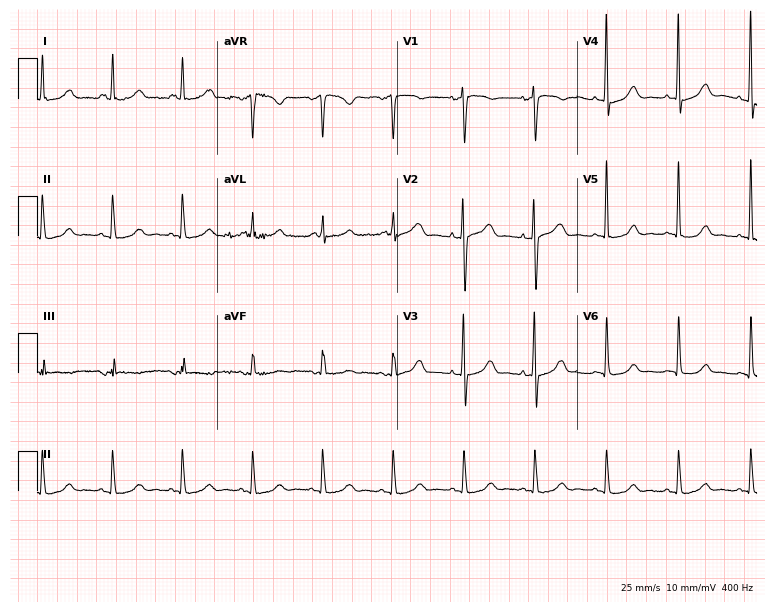
12-lead ECG from a 68-year-old female patient. Recorded interpretation: within normal limits.